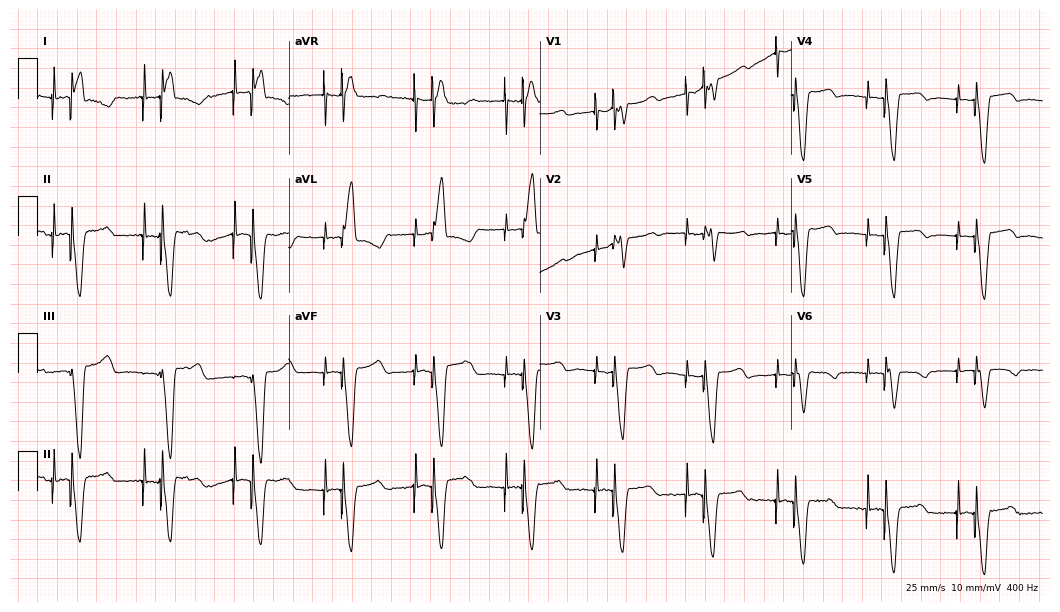
12-lead ECG from an 81-year-old woman. Screened for six findings — first-degree AV block, right bundle branch block (RBBB), left bundle branch block (LBBB), sinus bradycardia, atrial fibrillation (AF), sinus tachycardia — none is recorded. Only these six findings were labelled.